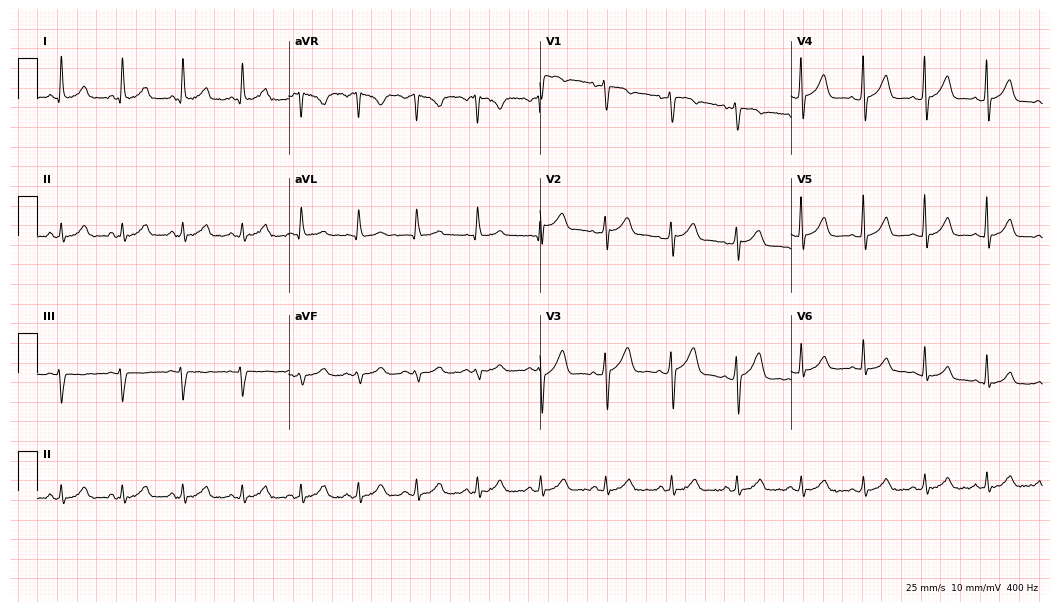
Standard 12-lead ECG recorded from a 35-year-old woman (10.2-second recording at 400 Hz). None of these six findings is recorded: first-degree AV block, right bundle branch block, left bundle branch block, sinus bradycardia, atrial fibrillation, sinus tachycardia.